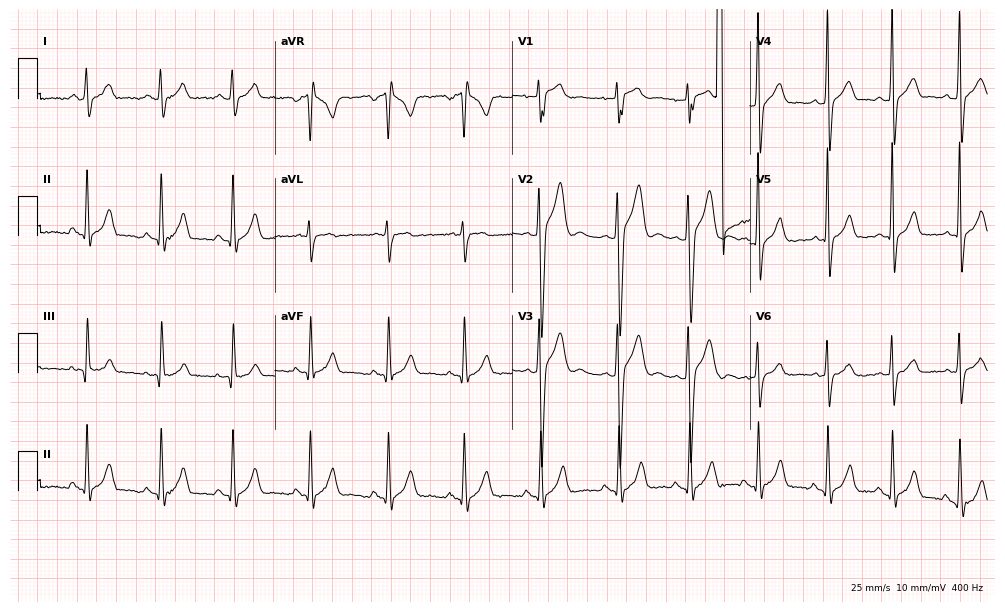
ECG (9.7-second recording at 400 Hz) — a male, 17 years old. Screened for six findings — first-degree AV block, right bundle branch block, left bundle branch block, sinus bradycardia, atrial fibrillation, sinus tachycardia — none is recorded.